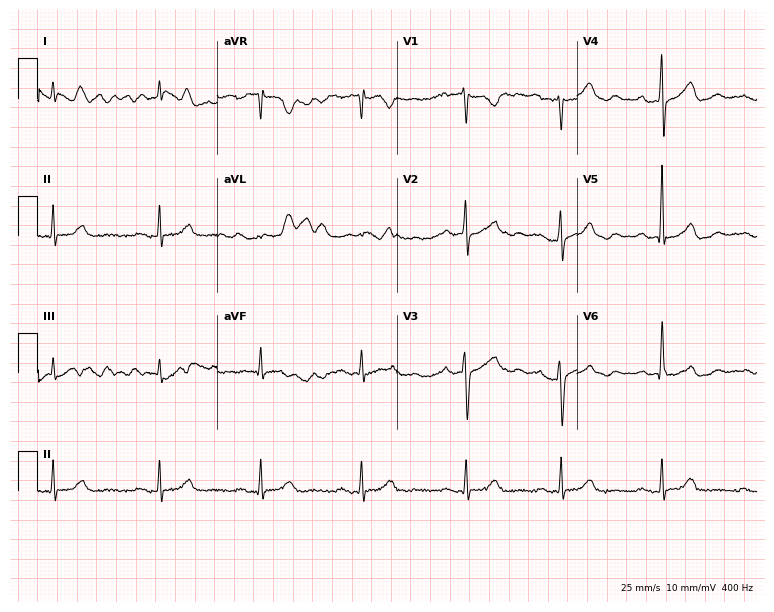
Standard 12-lead ECG recorded from a female, 64 years old (7.3-second recording at 400 Hz). None of these six findings is recorded: first-degree AV block, right bundle branch block (RBBB), left bundle branch block (LBBB), sinus bradycardia, atrial fibrillation (AF), sinus tachycardia. Other findings, if any, are not listed.